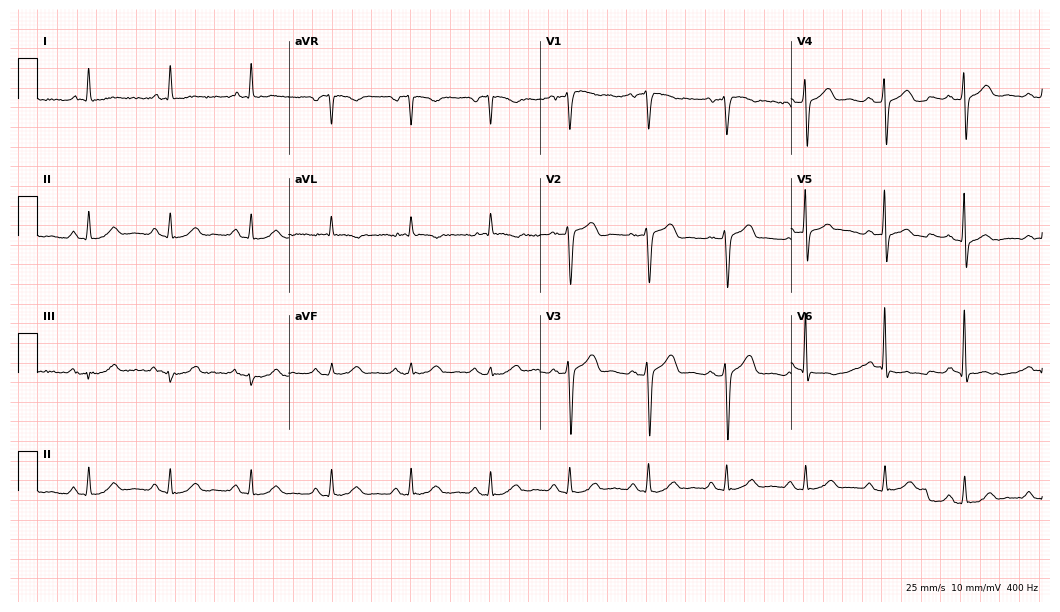
Resting 12-lead electrocardiogram (10.2-second recording at 400 Hz). Patient: a male, 69 years old. None of these six findings is recorded: first-degree AV block, right bundle branch block (RBBB), left bundle branch block (LBBB), sinus bradycardia, atrial fibrillation (AF), sinus tachycardia. Other findings, if any, are not listed.